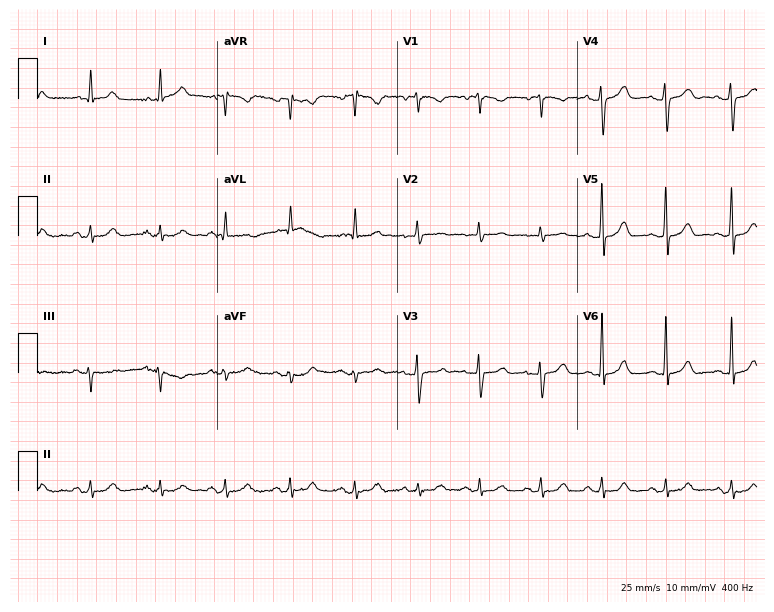
Standard 12-lead ECG recorded from a female, 39 years old. Read as a normal ECG.